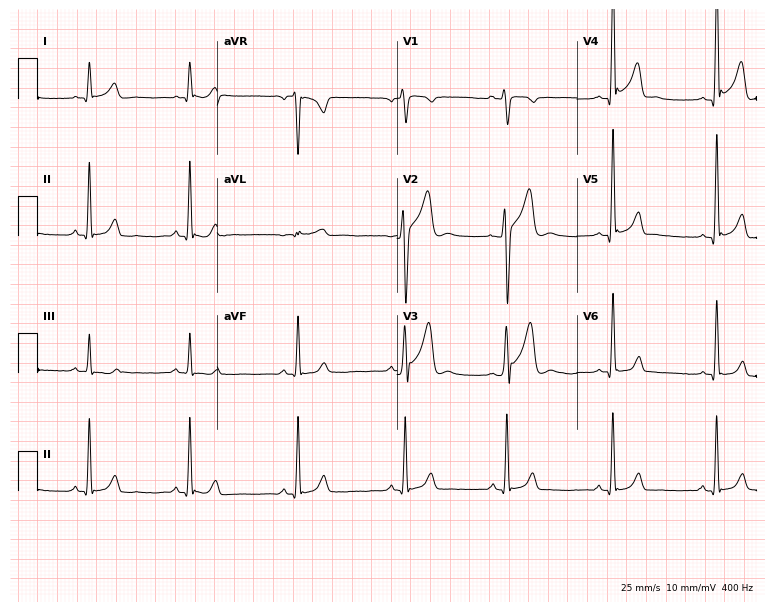
Resting 12-lead electrocardiogram (7.3-second recording at 400 Hz). Patient: a 23-year-old male. None of these six findings is recorded: first-degree AV block, right bundle branch block, left bundle branch block, sinus bradycardia, atrial fibrillation, sinus tachycardia.